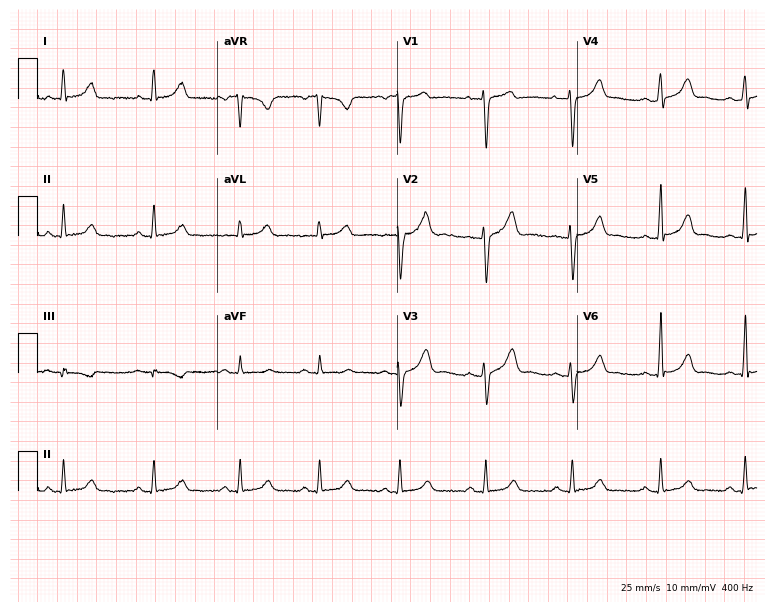
Standard 12-lead ECG recorded from a 33-year-old man (7.3-second recording at 400 Hz). Read as a normal ECG.